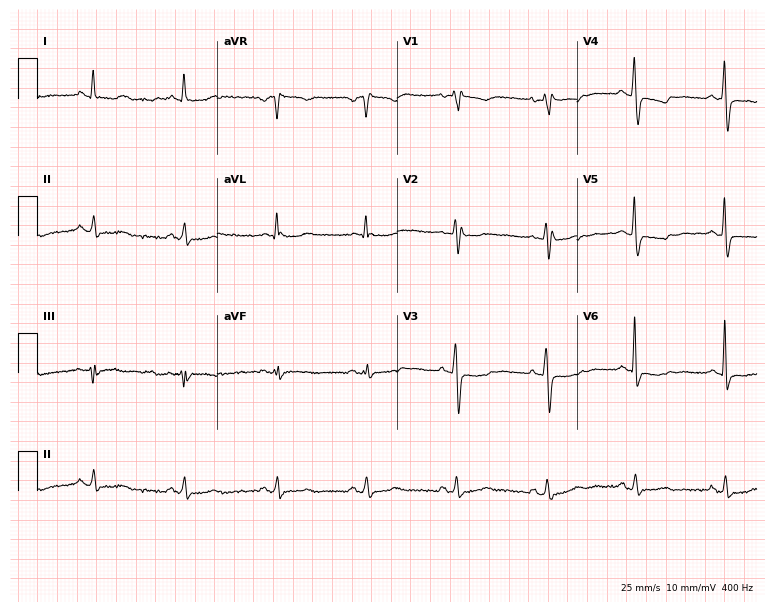
Electrocardiogram (7.3-second recording at 400 Hz), a 53-year-old woman. Of the six screened findings (first-degree AV block, right bundle branch block (RBBB), left bundle branch block (LBBB), sinus bradycardia, atrial fibrillation (AF), sinus tachycardia), none is recorded. Only these six findings were labelled.